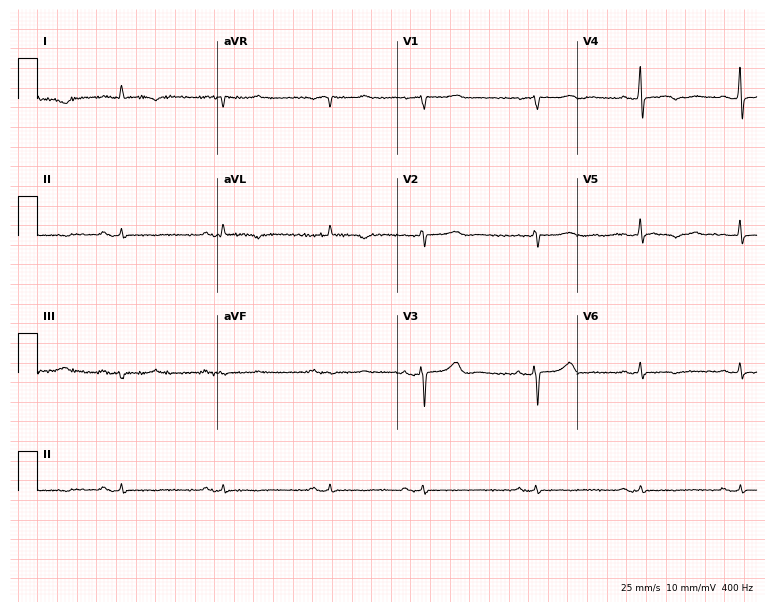
Resting 12-lead electrocardiogram (7.3-second recording at 400 Hz). Patient: a female, 72 years old. None of these six findings is recorded: first-degree AV block, right bundle branch block (RBBB), left bundle branch block (LBBB), sinus bradycardia, atrial fibrillation (AF), sinus tachycardia. Only these six findings were labelled.